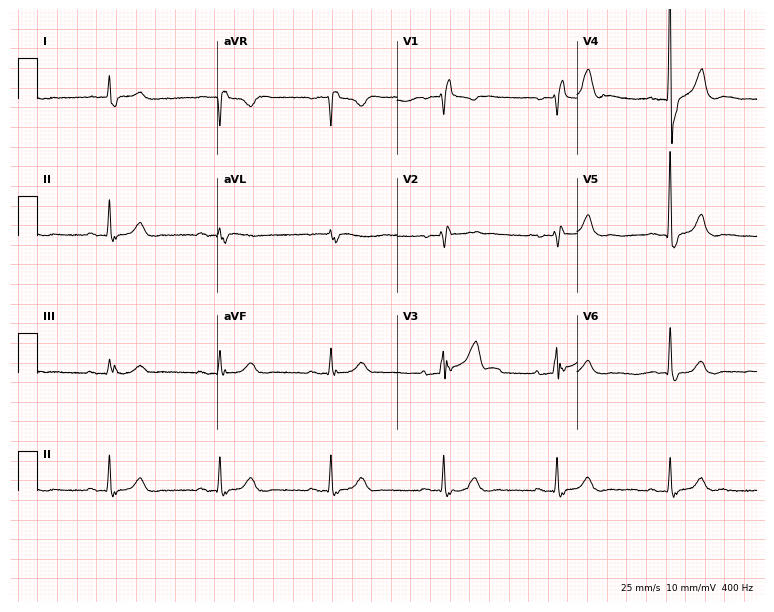
Electrocardiogram, a man, 84 years old. Of the six screened findings (first-degree AV block, right bundle branch block, left bundle branch block, sinus bradycardia, atrial fibrillation, sinus tachycardia), none is recorded.